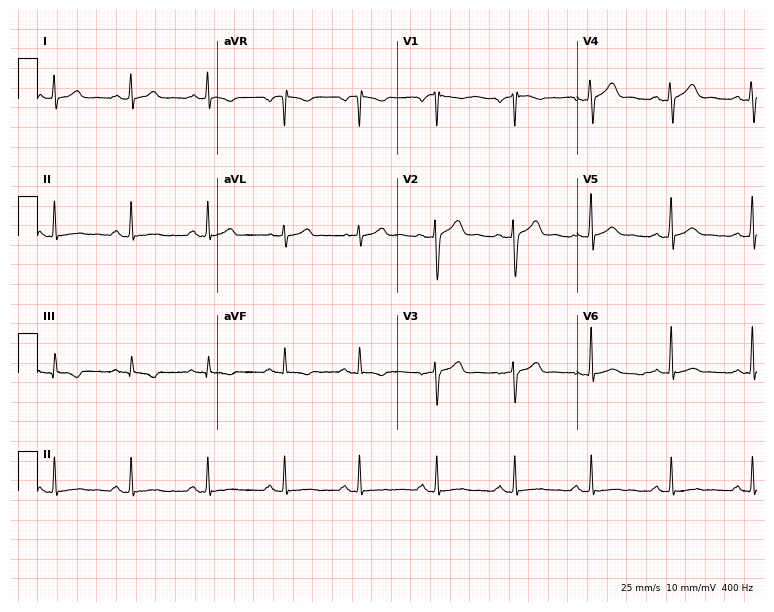
12-lead ECG (7.3-second recording at 400 Hz) from a male patient, 27 years old. Labelled as a normal ECG.